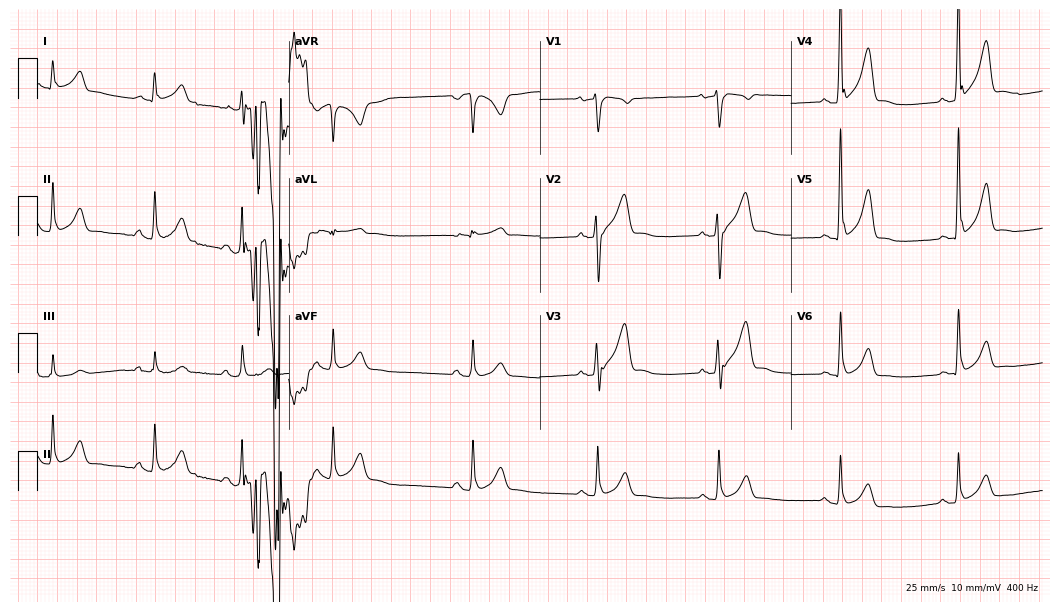
Standard 12-lead ECG recorded from a 41-year-old male (10.2-second recording at 400 Hz). None of these six findings is recorded: first-degree AV block, right bundle branch block (RBBB), left bundle branch block (LBBB), sinus bradycardia, atrial fibrillation (AF), sinus tachycardia. Only these six findings were labelled.